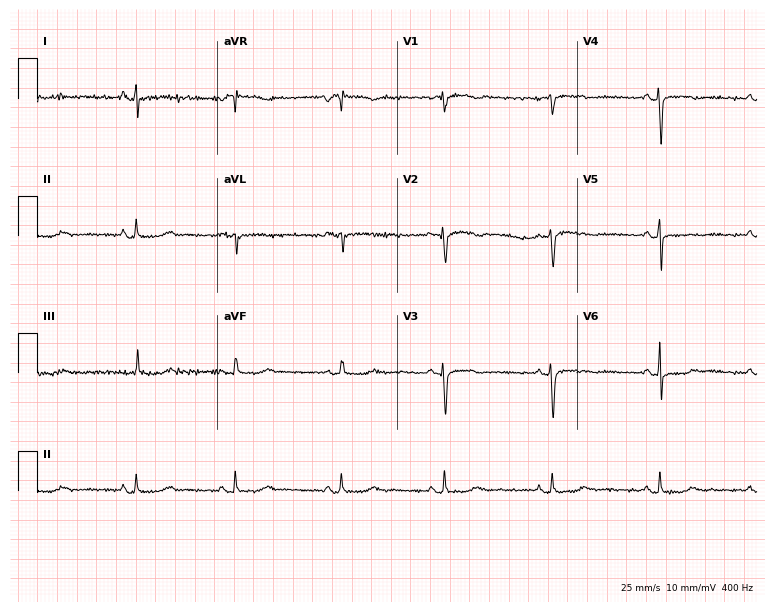
12-lead ECG from a female patient, 40 years old. Screened for six findings — first-degree AV block, right bundle branch block, left bundle branch block, sinus bradycardia, atrial fibrillation, sinus tachycardia — none is recorded.